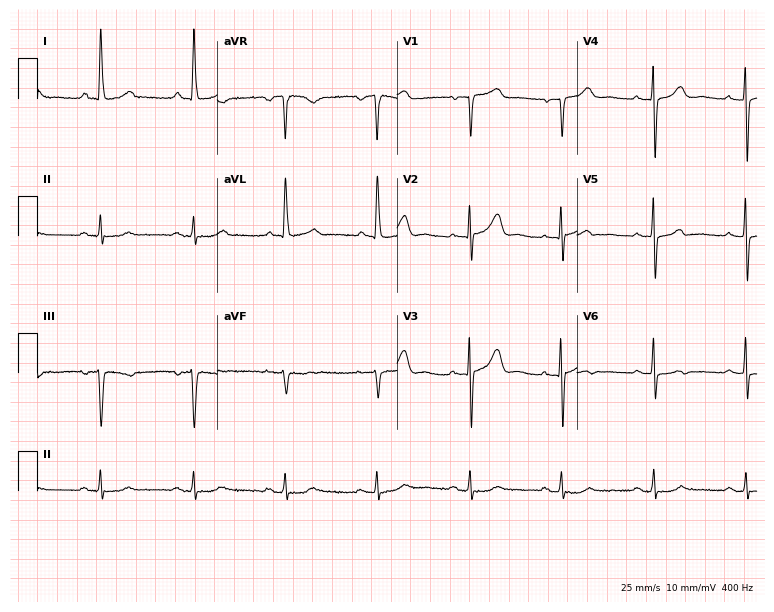
12-lead ECG from a female, 68 years old (7.3-second recording at 400 Hz). Recorded interpretation: within normal limits.